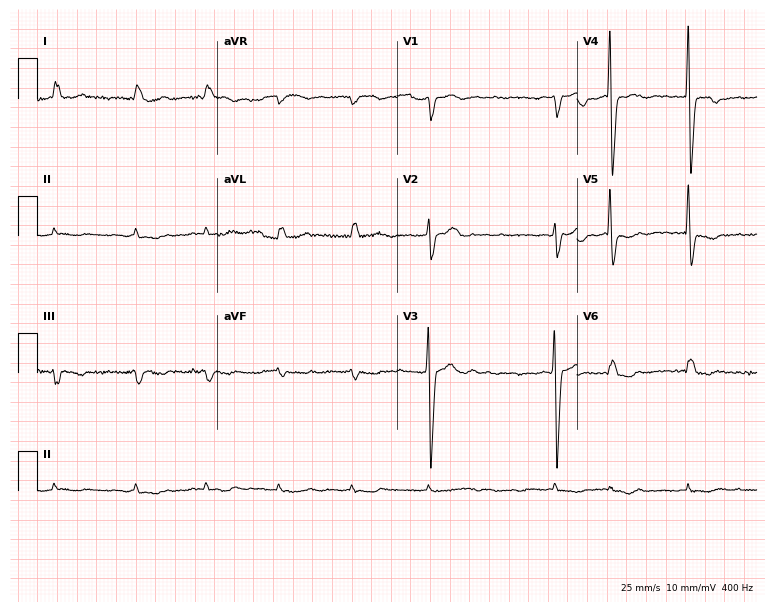
Electrocardiogram (7.3-second recording at 400 Hz), an 85-year-old male patient. Interpretation includes atrial fibrillation.